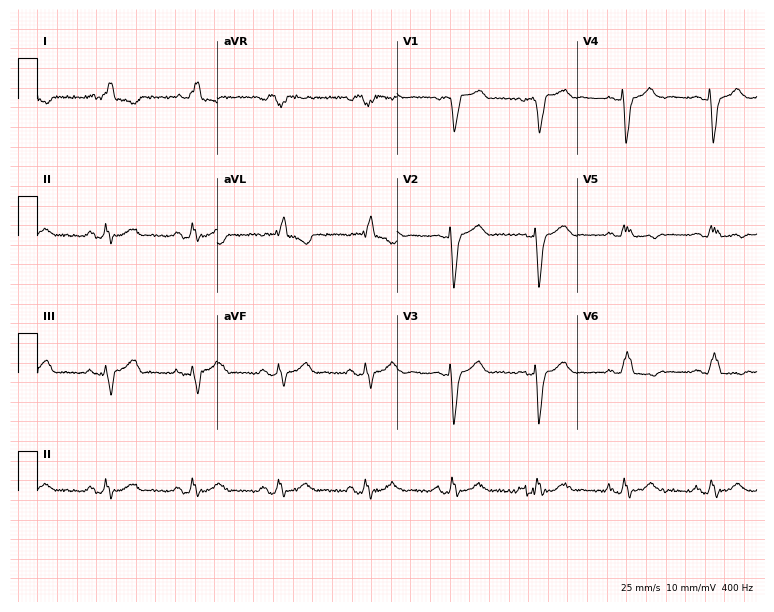
Resting 12-lead electrocardiogram (7.3-second recording at 400 Hz). Patient: an 83-year-old female. The tracing shows left bundle branch block.